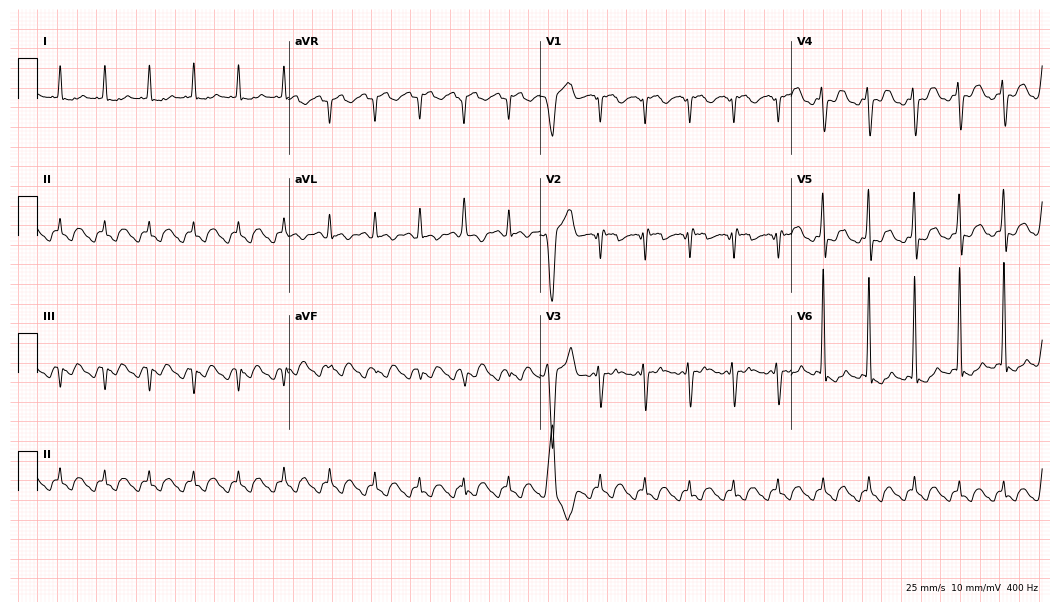
Standard 12-lead ECG recorded from an 81-year-old male patient. None of these six findings is recorded: first-degree AV block, right bundle branch block, left bundle branch block, sinus bradycardia, atrial fibrillation, sinus tachycardia.